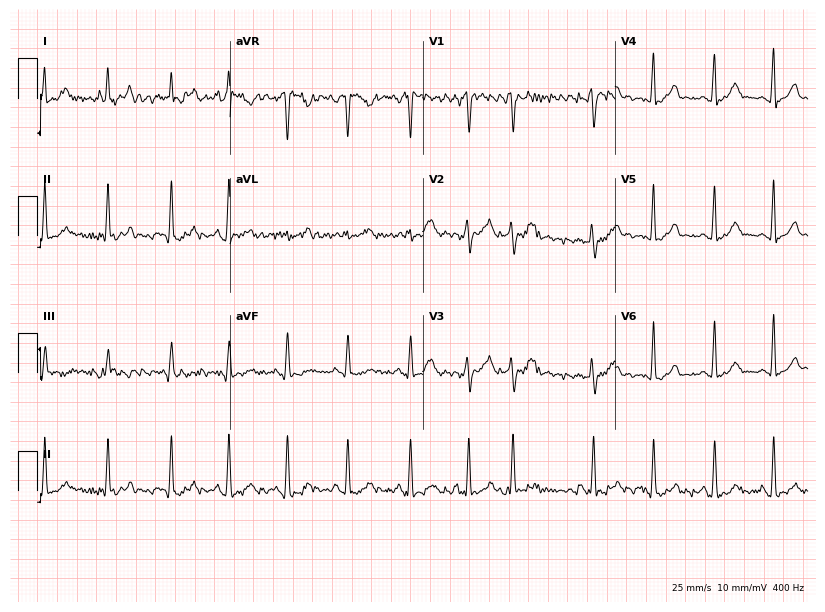
12-lead ECG from a female, 26 years old (7.9-second recording at 400 Hz). No first-degree AV block, right bundle branch block, left bundle branch block, sinus bradycardia, atrial fibrillation or sinus tachycardia recorded for this tracing.